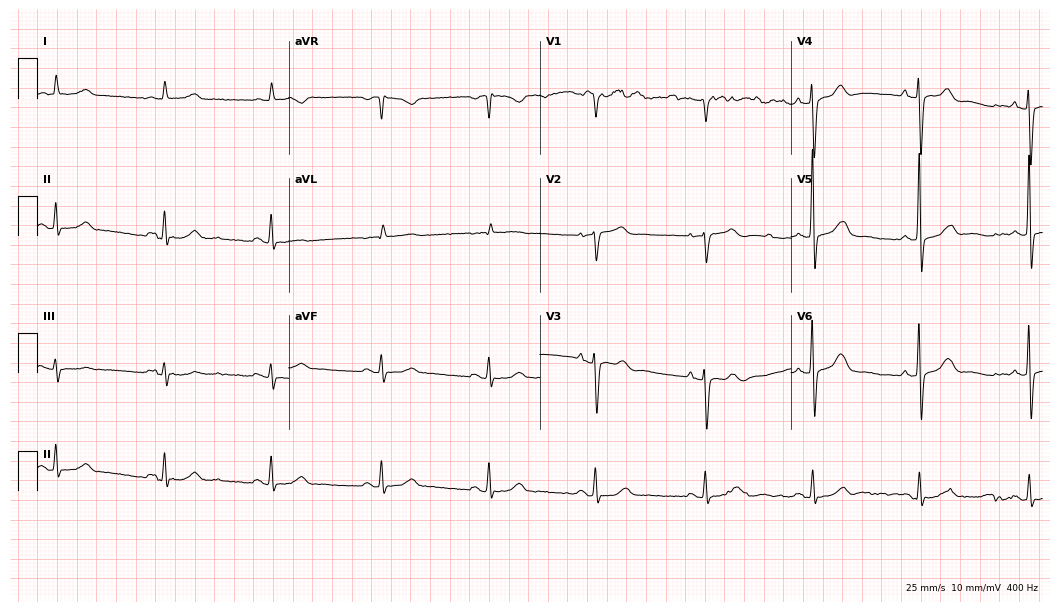
12-lead ECG (10.2-second recording at 400 Hz) from a woman, 84 years old. Labelled as a normal ECG.